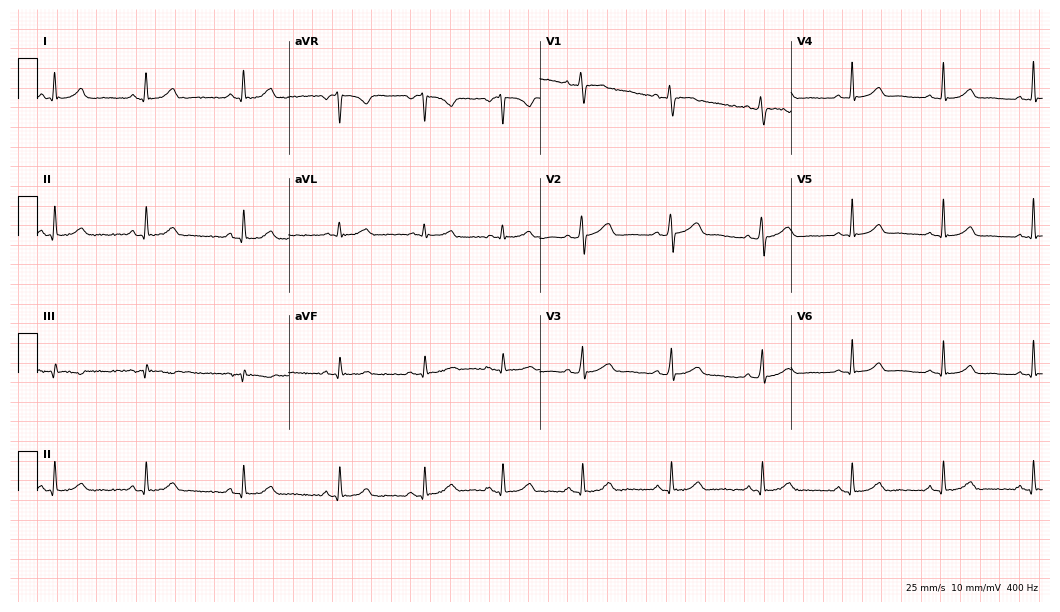
Standard 12-lead ECG recorded from a female patient, 44 years old. Read as a normal ECG.